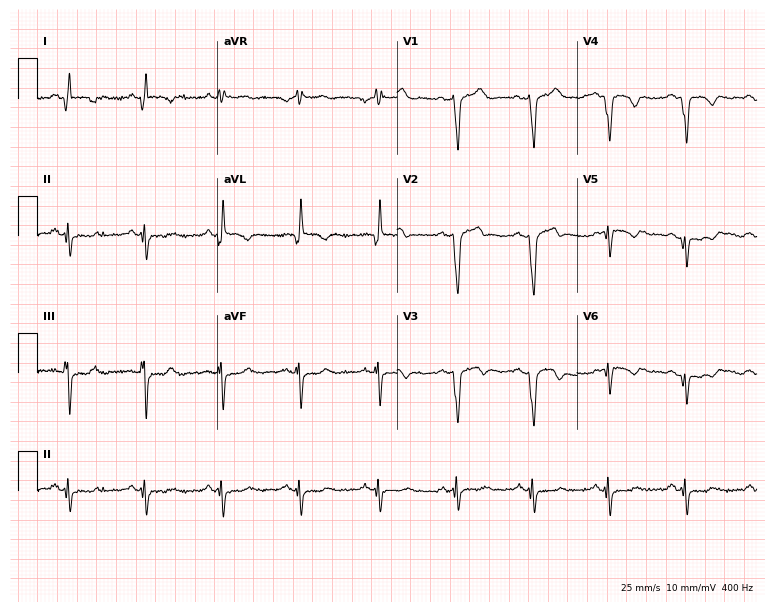
12-lead ECG from a male patient, 37 years old. Screened for six findings — first-degree AV block, right bundle branch block (RBBB), left bundle branch block (LBBB), sinus bradycardia, atrial fibrillation (AF), sinus tachycardia — none is recorded. Findings outside these six are not listed.